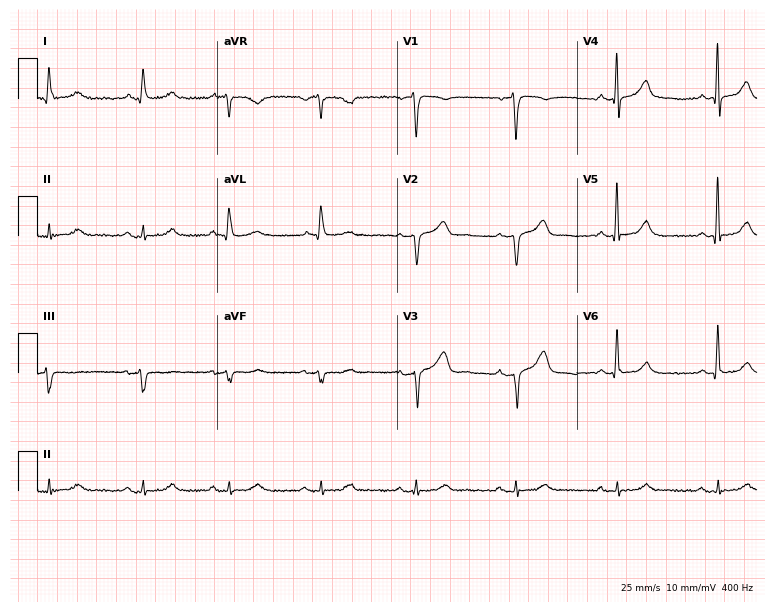
12-lead ECG (7.3-second recording at 400 Hz) from a 48-year-old male. Screened for six findings — first-degree AV block, right bundle branch block (RBBB), left bundle branch block (LBBB), sinus bradycardia, atrial fibrillation (AF), sinus tachycardia — none is recorded.